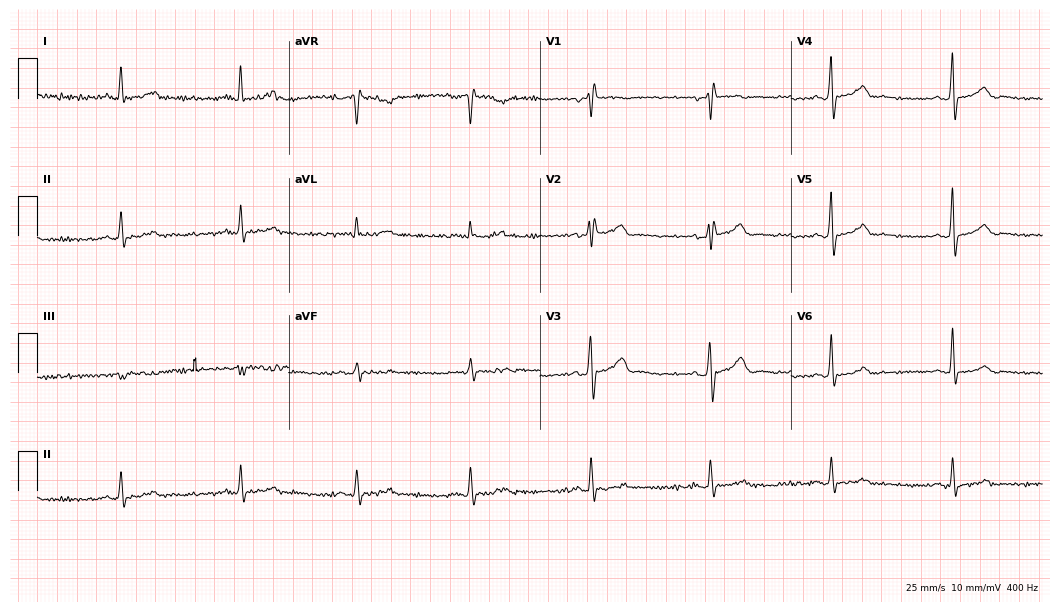
Standard 12-lead ECG recorded from a 47-year-old male patient (10.2-second recording at 400 Hz). The tracing shows sinus bradycardia (a sinus rate of 50 beats per minute or less).